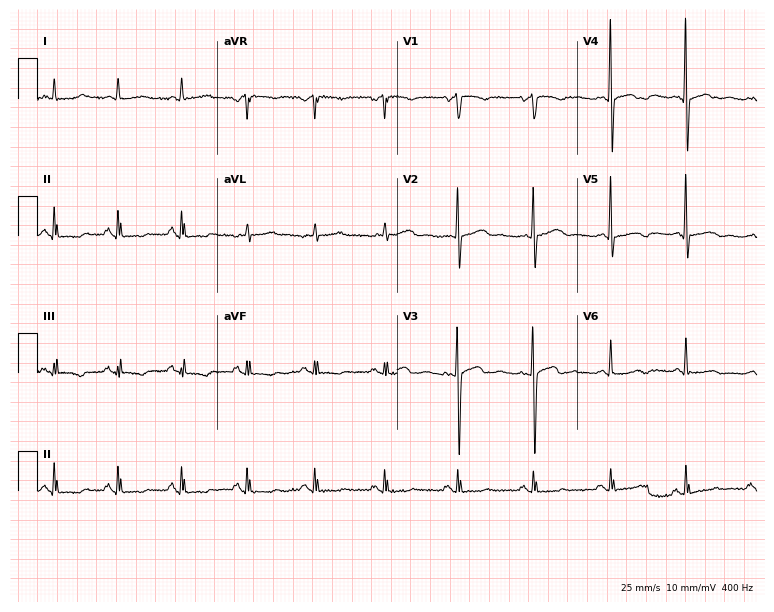
12-lead ECG (7.3-second recording at 400 Hz) from a woman, 69 years old. Screened for six findings — first-degree AV block, right bundle branch block, left bundle branch block, sinus bradycardia, atrial fibrillation, sinus tachycardia — none is recorded.